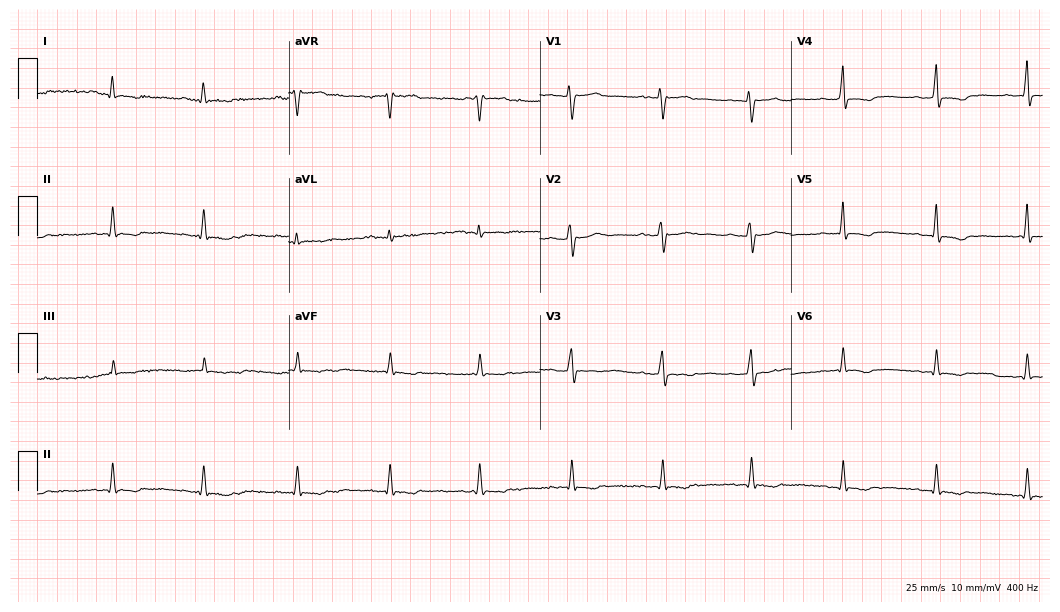
12-lead ECG from a 26-year-old female. Labelled as a normal ECG.